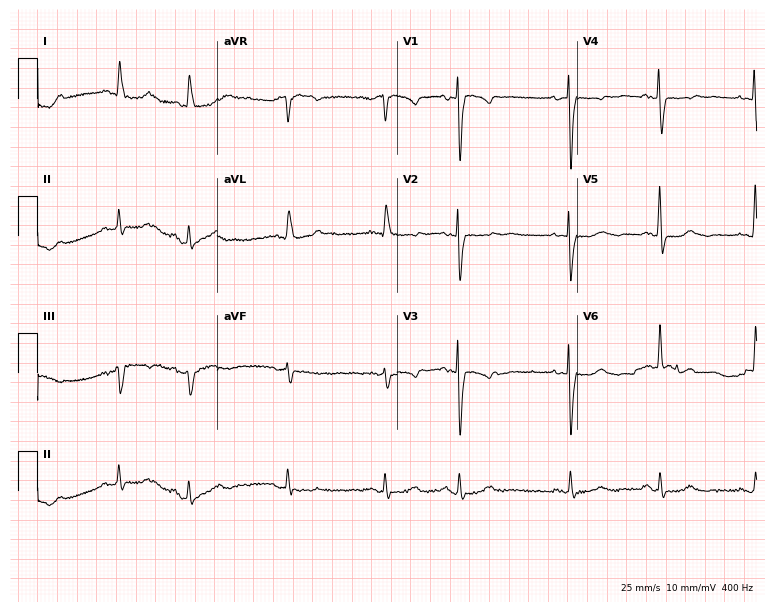
Electrocardiogram (7.3-second recording at 400 Hz), an 82-year-old female patient. Of the six screened findings (first-degree AV block, right bundle branch block, left bundle branch block, sinus bradycardia, atrial fibrillation, sinus tachycardia), none is recorded. Findings outside these six are not listed.